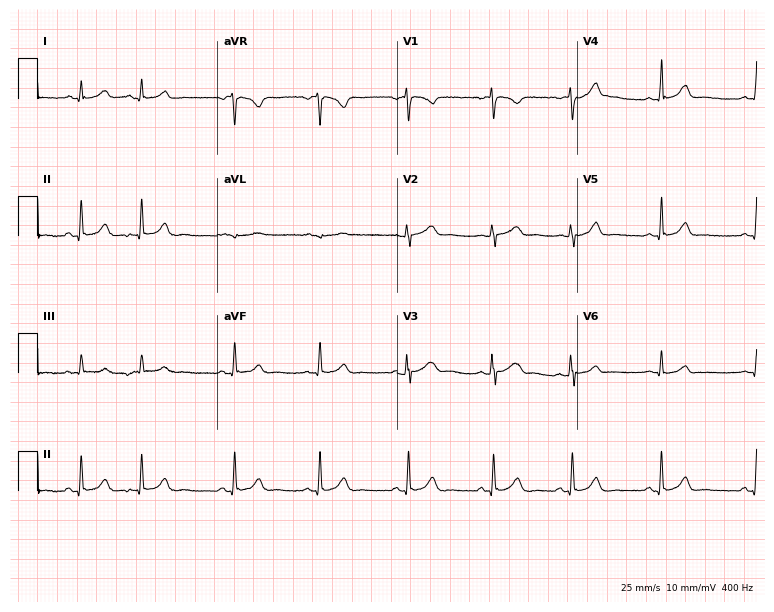
Electrocardiogram (7.3-second recording at 400 Hz), a 22-year-old female patient. Of the six screened findings (first-degree AV block, right bundle branch block, left bundle branch block, sinus bradycardia, atrial fibrillation, sinus tachycardia), none is recorded.